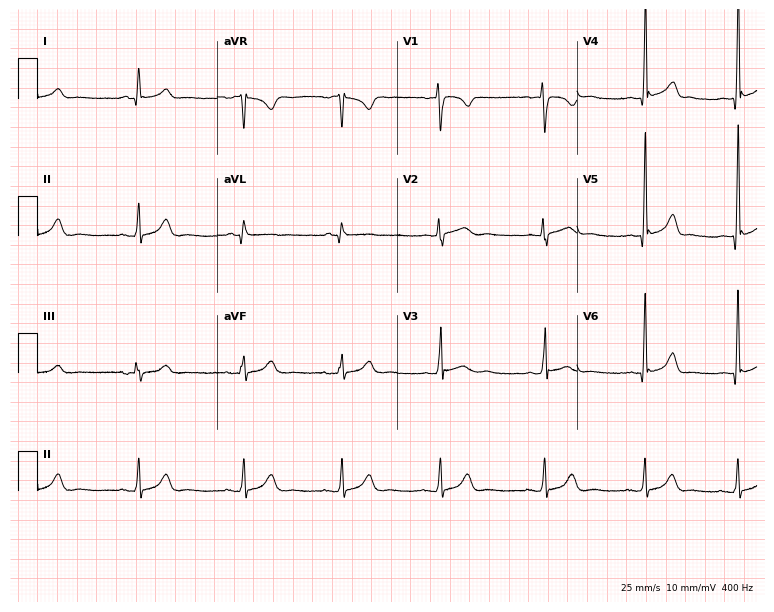
Standard 12-lead ECG recorded from a 17-year-old woman. Read as a normal ECG.